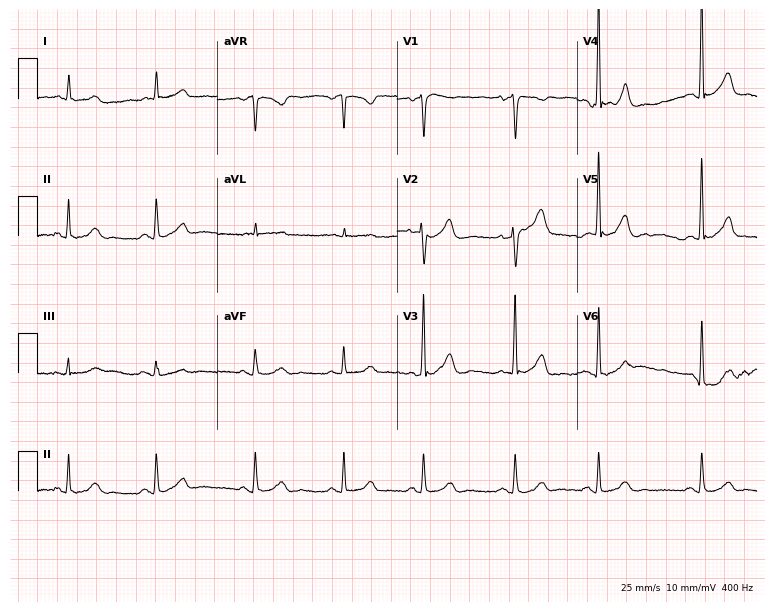
12-lead ECG from a 75-year-old man (7.3-second recording at 400 Hz). No first-degree AV block, right bundle branch block, left bundle branch block, sinus bradycardia, atrial fibrillation or sinus tachycardia recorded for this tracing. Only these six findings were labelled.